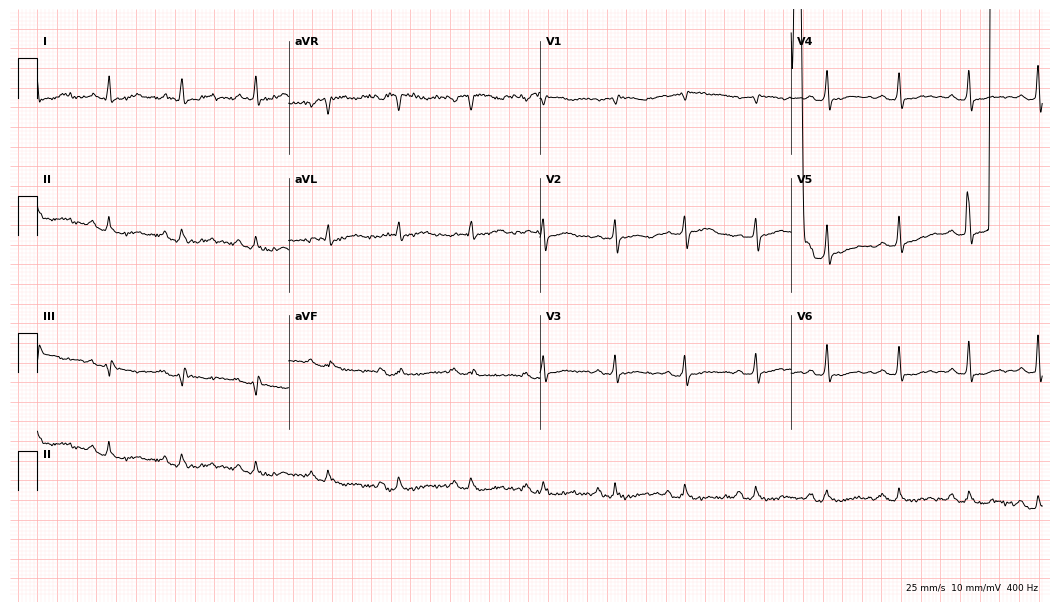
Standard 12-lead ECG recorded from a 77-year-old female patient. None of these six findings is recorded: first-degree AV block, right bundle branch block, left bundle branch block, sinus bradycardia, atrial fibrillation, sinus tachycardia.